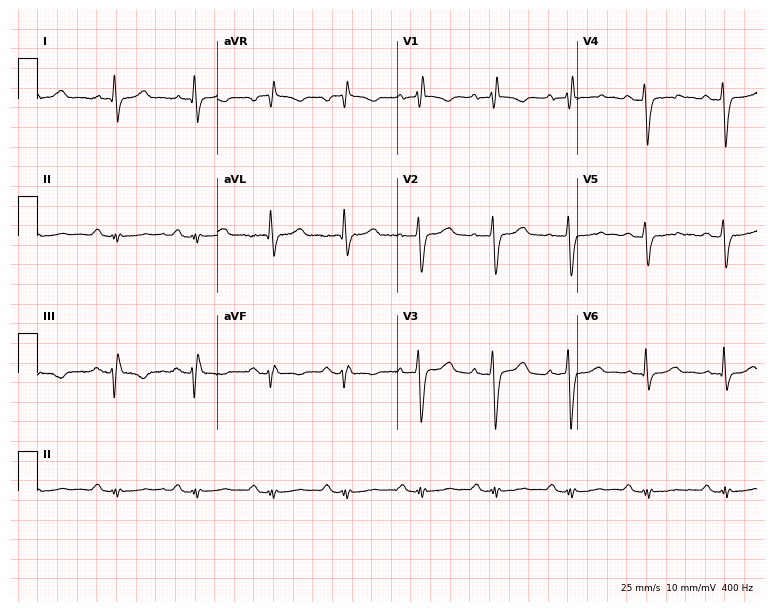
Electrocardiogram, a 53-year-old male. Interpretation includes right bundle branch block (RBBB).